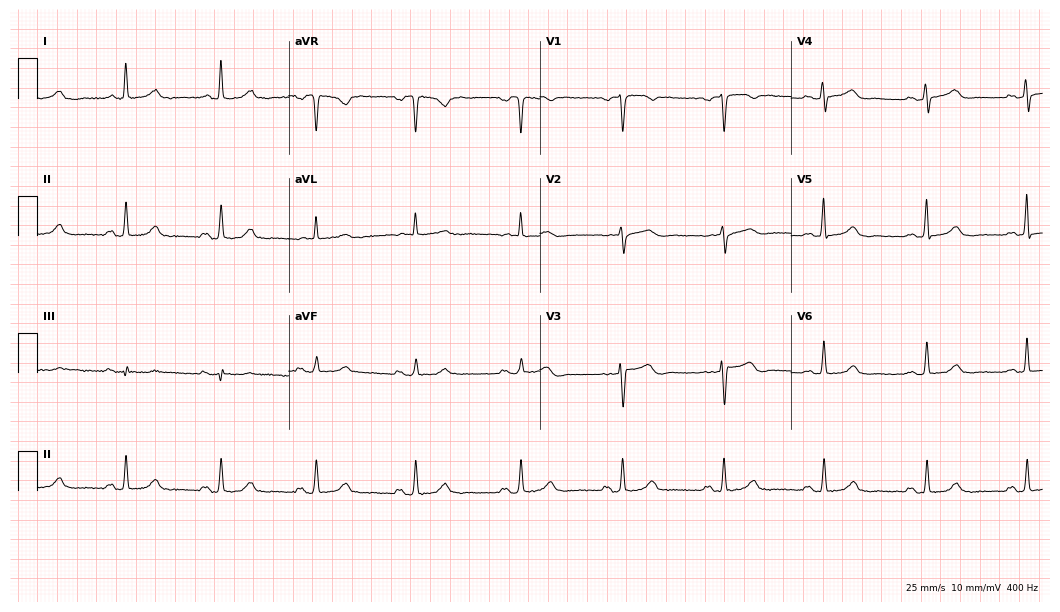
Resting 12-lead electrocardiogram. Patient: a 62-year-old female. Read as a normal ECG.